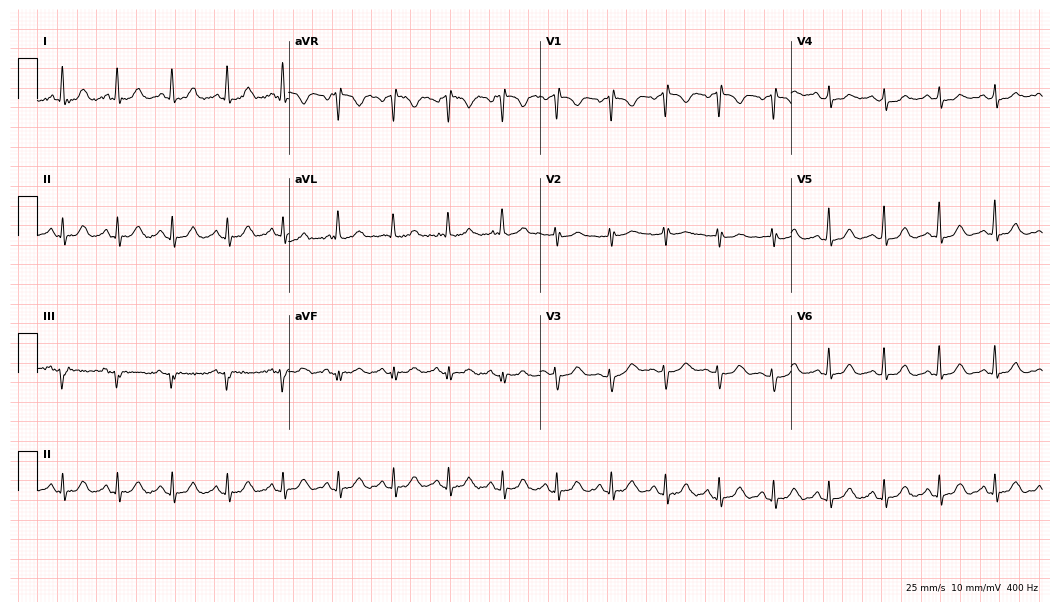
Standard 12-lead ECG recorded from a 57-year-old female patient. The tracing shows sinus tachycardia (a sinus rate of 100 beats per minute or more).